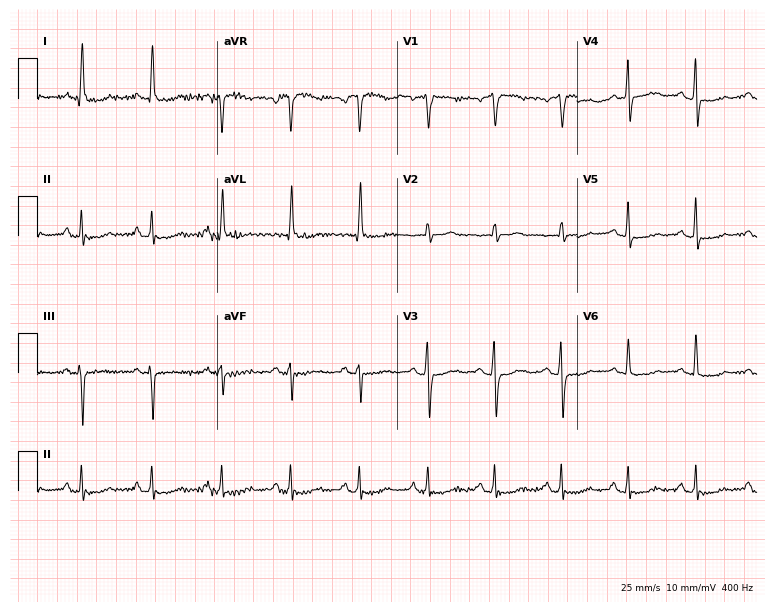
Resting 12-lead electrocardiogram. Patient: a female, 63 years old. None of these six findings is recorded: first-degree AV block, right bundle branch block, left bundle branch block, sinus bradycardia, atrial fibrillation, sinus tachycardia. Only these six findings were labelled.